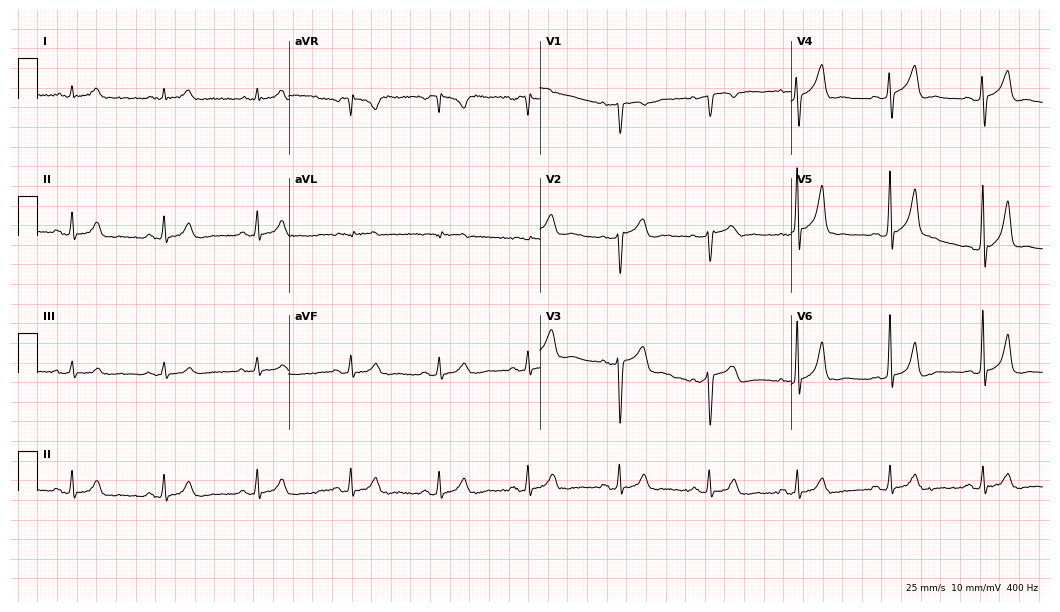
12-lead ECG (10.2-second recording at 400 Hz) from a male patient, 43 years old. Labelled as a normal ECG.